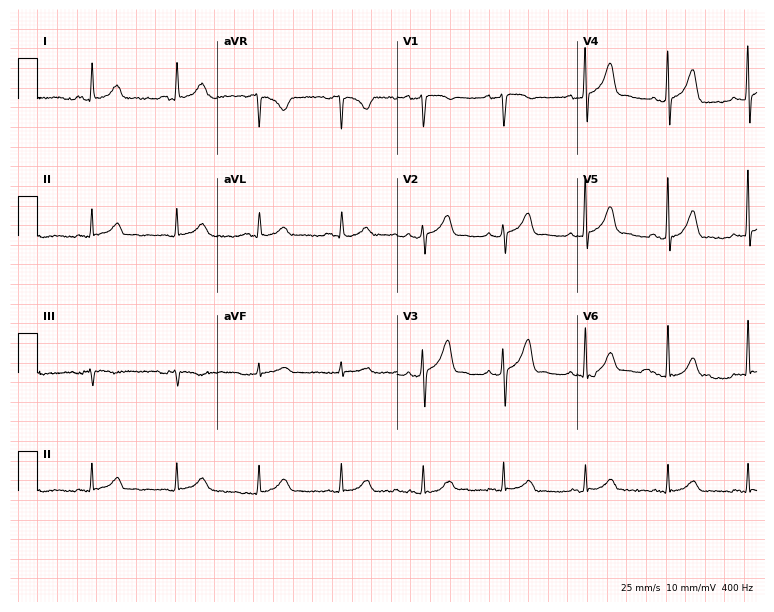
Resting 12-lead electrocardiogram (7.3-second recording at 400 Hz). Patient: a 57-year-old male. Read as a normal ECG.